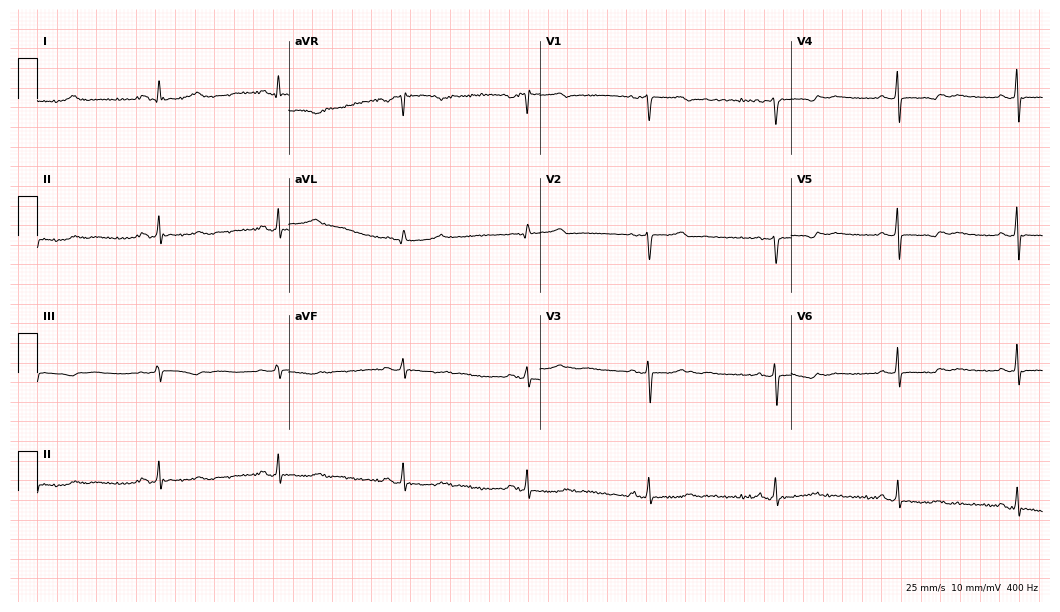
ECG — a 58-year-old female. Screened for six findings — first-degree AV block, right bundle branch block, left bundle branch block, sinus bradycardia, atrial fibrillation, sinus tachycardia — none is recorded. Only these six findings were labelled.